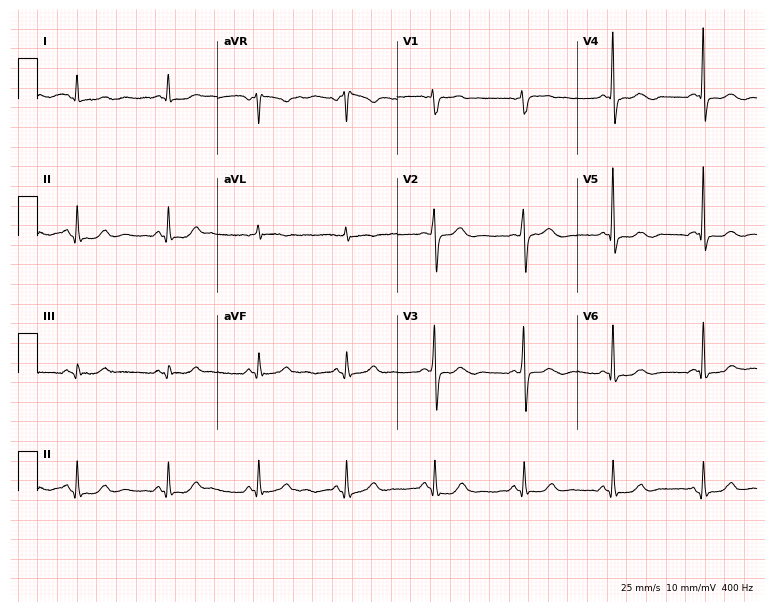
12-lead ECG from a 65-year-old man (7.3-second recording at 400 Hz). No first-degree AV block, right bundle branch block, left bundle branch block, sinus bradycardia, atrial fibrillation or sinus tachycardia recorded for this tracing. Only these six findings were labelled.